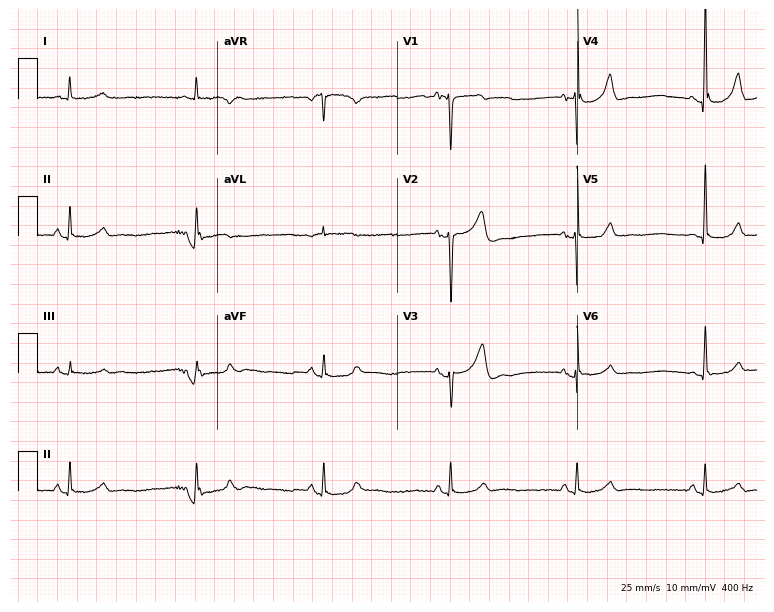
12-lead ECG from a 66-year-old male patient. Findings include sinus bradycardia (a sinus rate of 50 beats per minute or less).